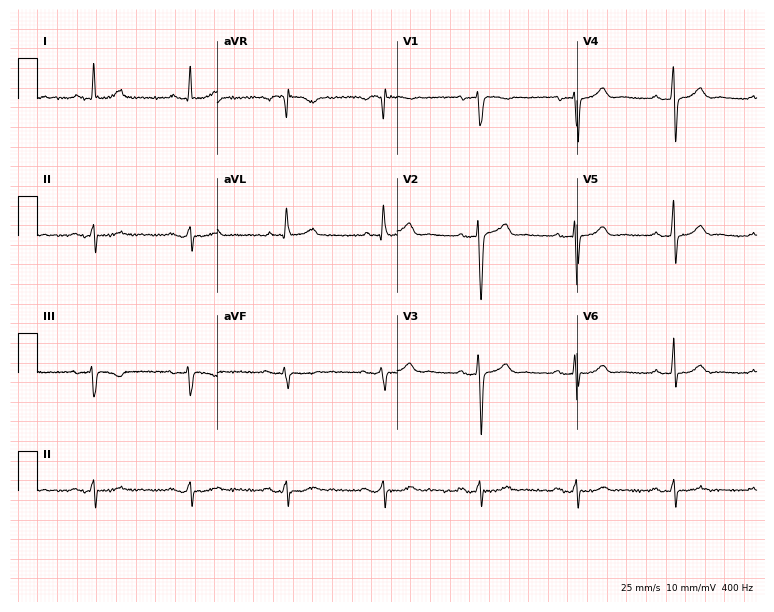
Electrocardiogram, a male patient, 76 years old. Overall reading on record: normal ECG.